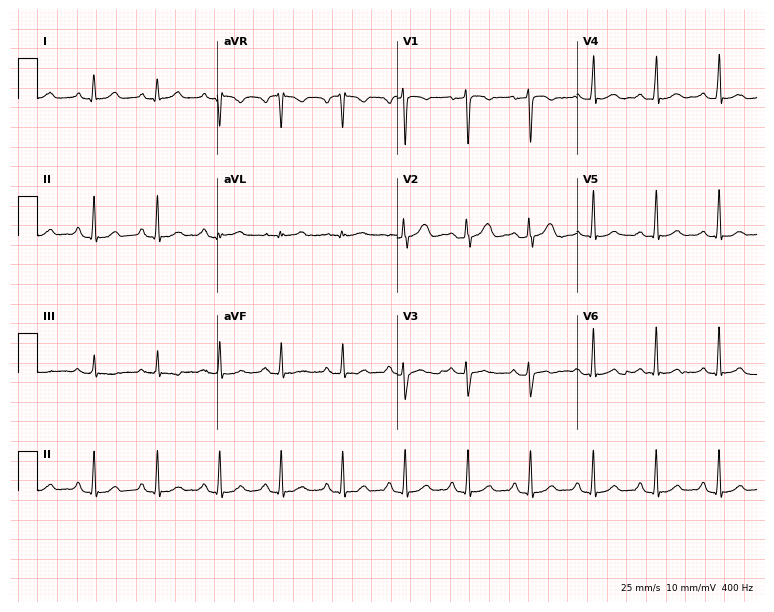
ECG — a female, 40 years old. Screened for six findings — first-degree AV block, right bundle branch block, left bundle branch block, sinus bradycardia, atrial fibrillation, sinus tachycardia — none is recorded. Only these six findings were labelled.